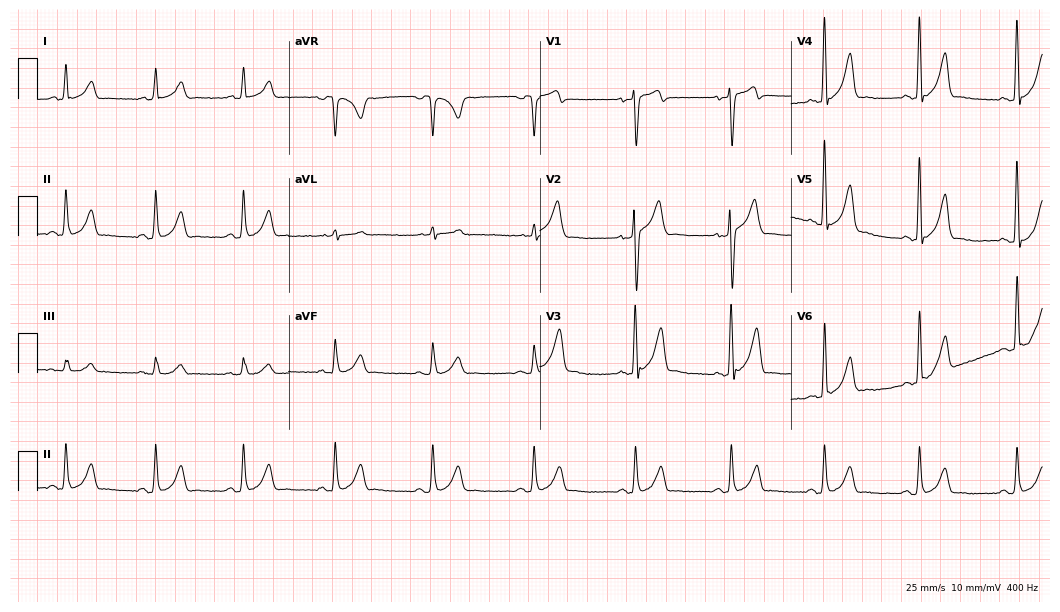
12-lead ECG (10.2-second recording at 400 Hz) from a 39-year-old male patient. Labelled as a normal ECG.